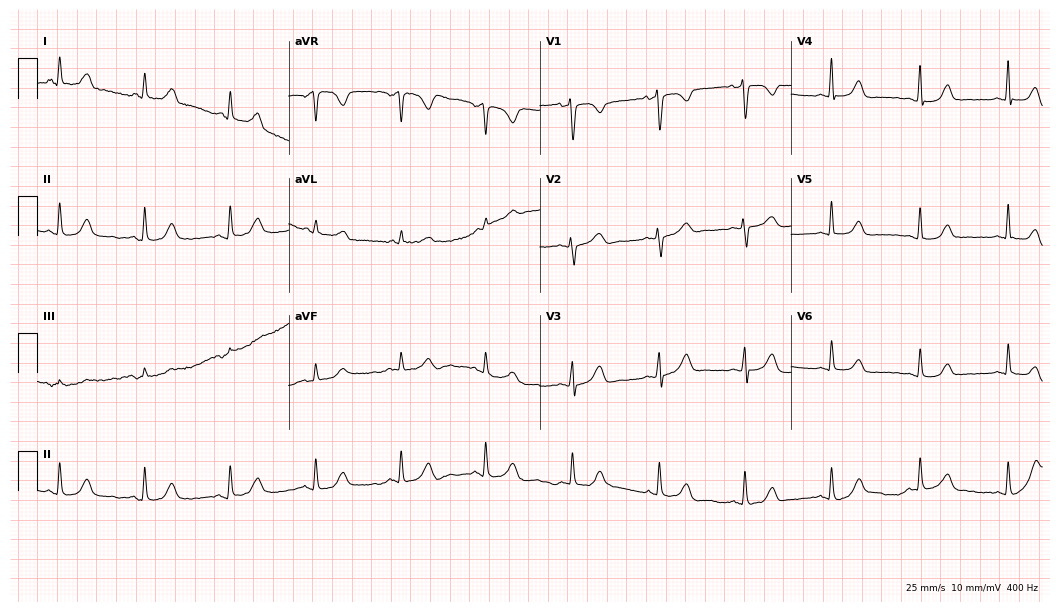
12-lead ECG (10.2-second recording at 400 Hz) from a 42-year-old woman. Labelled as a normal ECG.